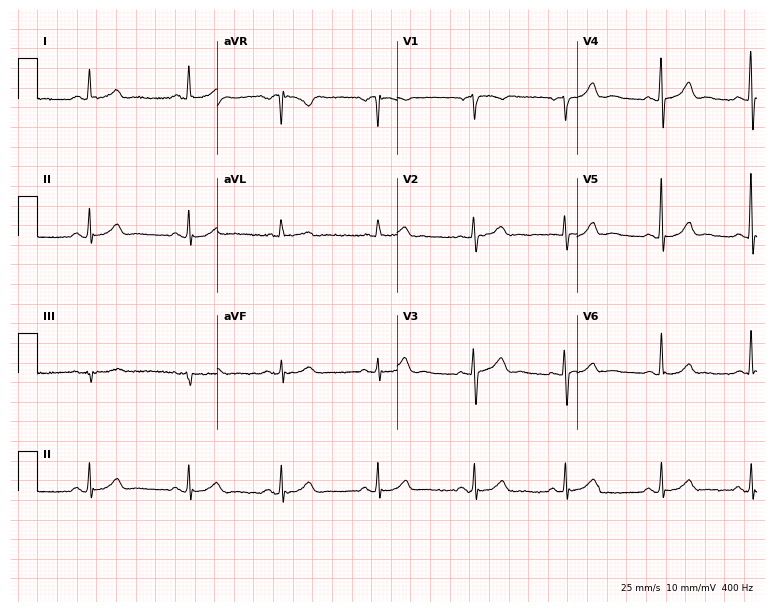
Electrocardiogram (7.3-second recording at 400 Hz), a female patient, 60 years old. Overall reading on record: normal ECG.